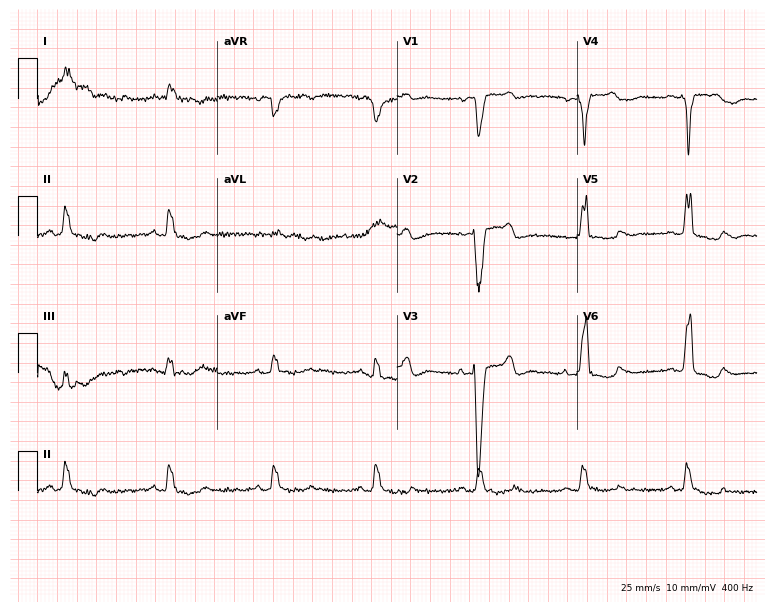
Standard 12-lead ECG recorded from a 78-year-old man (7.3-second recording at 400 Hz). The tracing shows left bundle branch block (LBBB).